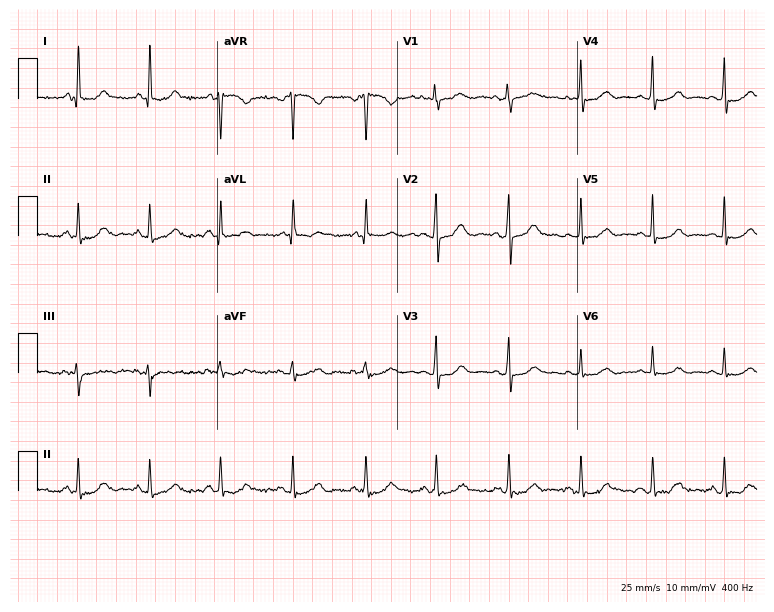
ECG (7.3-second recording at 400 Hz) — a 63-year-old female. Screened for six findings — first-degree AV block, right bundle branch block (RBBB), left bundle branch block (LBBB), sinus bradycardia, atrial fibrillation (AF), sinus tachycardia — none is recorded. Findings outside these six are not listed.